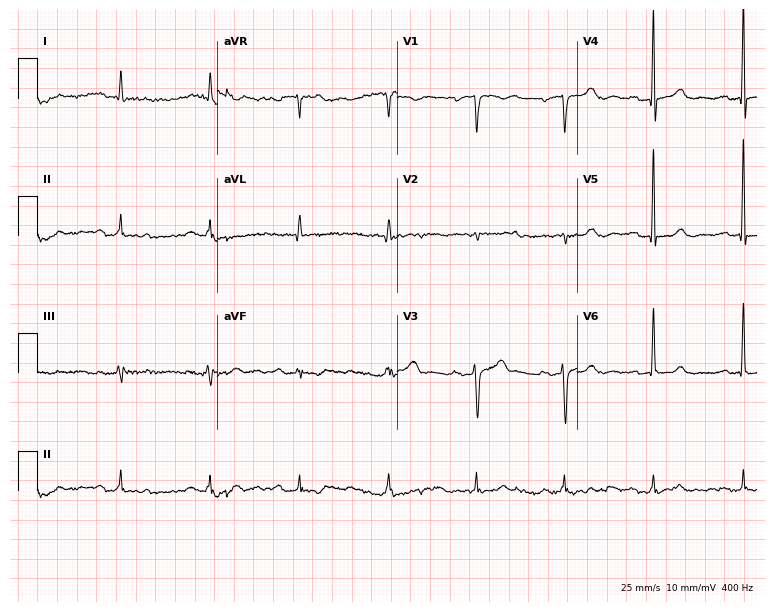
ECG — a 76-year-old male. Screened for six findings — first-degree AV block, right bundle branch block (RBBB), left bundle branch block (LBBB), sinus bradycardia, atrial fibrillation (AF), sinus tachycardia — none is recorded.